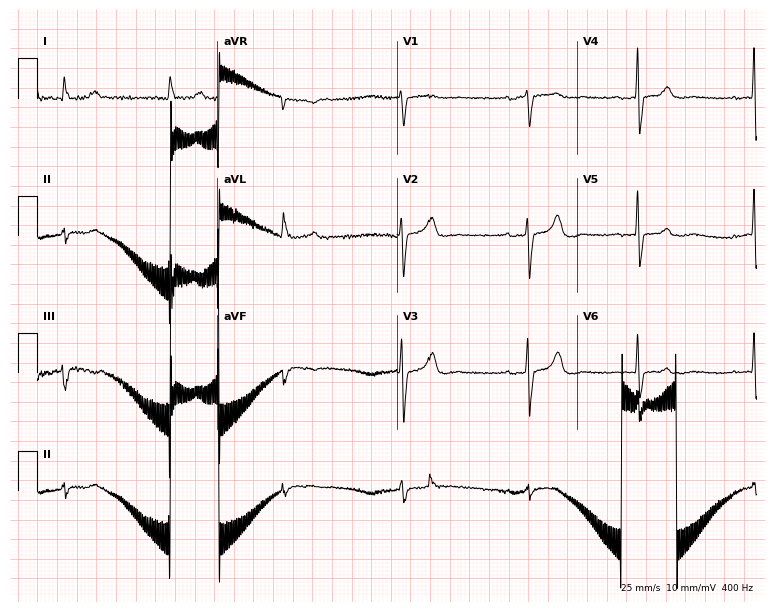
12-lead ECG (7.3-second recording at 400 Hz) from a male, 81 years old. Screened for six findings — first-degree AV block, right bundle branch block, left bundle branch block, sinus bradycardia, atrial fibrillation, sinus tachycardia — none is recorded. Other findings, if any, are not listed.